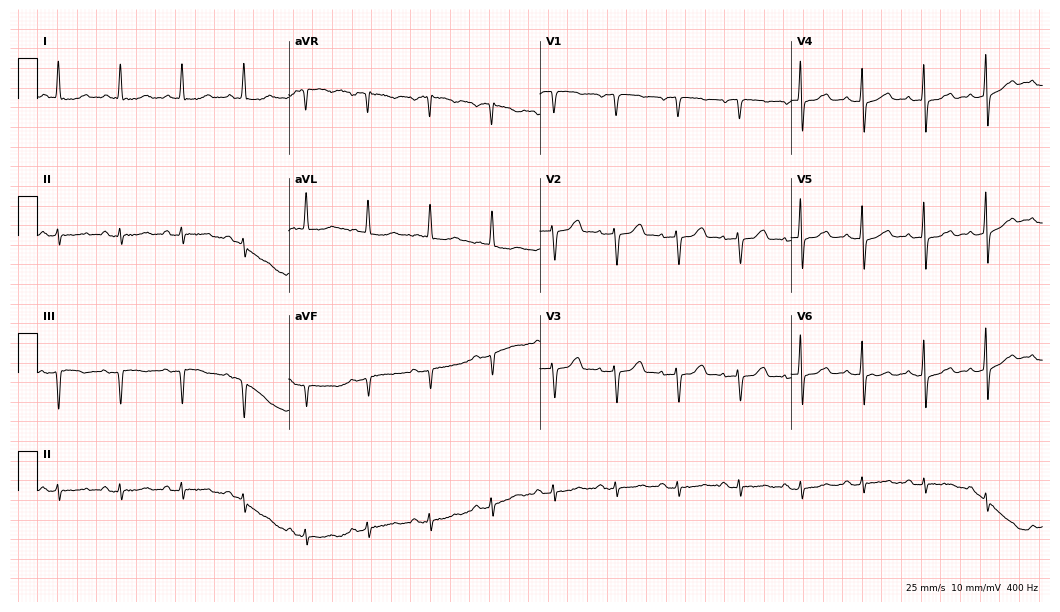
Resting 12-lead electrocardiogram (10.2-second recording at 400 Hz). Patient: a female, 82 years old. None of these six findings is recorded: first-degree AV block, right bundle branch block, left bundle branch block, sinus bradycardia, atrial fibrillation, sinus tachycardia.